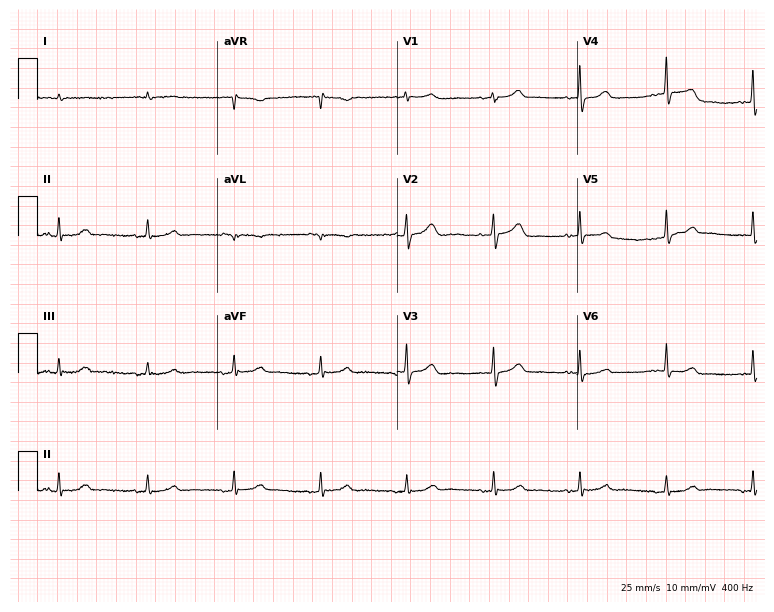
12-lead ECG from a 72-year-old man. Screened for six findings — first-degree AV block, right bundle branch block (RBBB), left bundle branch block (LBBB), sinus bradycardia, atrial fibrillation (AF), sinus tachycardia — none is recorded. Other findings, if any, are not listed.